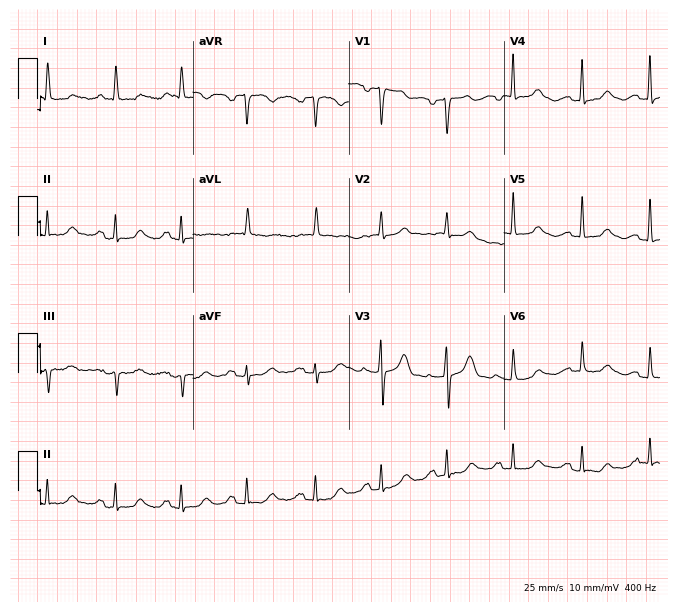
12-lead ECG from an 84-year-old woman. Recorded interpretation: within normal limits.